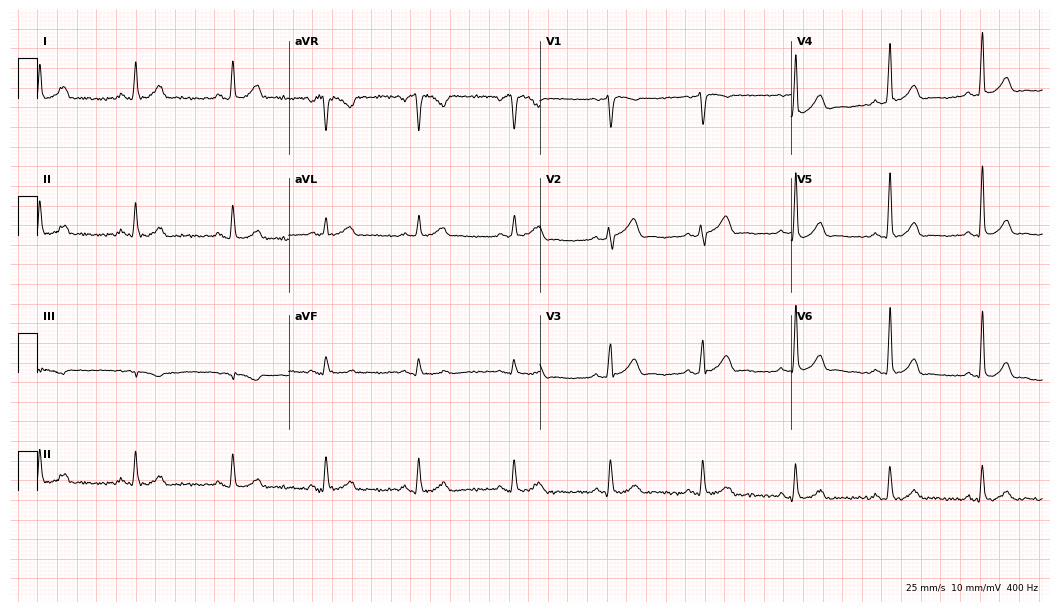
Resting 12-lead electrocardiogram. Patient: a man, 40 years old. None of these six findings is recorded: first-degree AV block, right bundle branch block, left bundle branch block, sinus bradycardia, atrial fibrillation, sinus tachycardia.